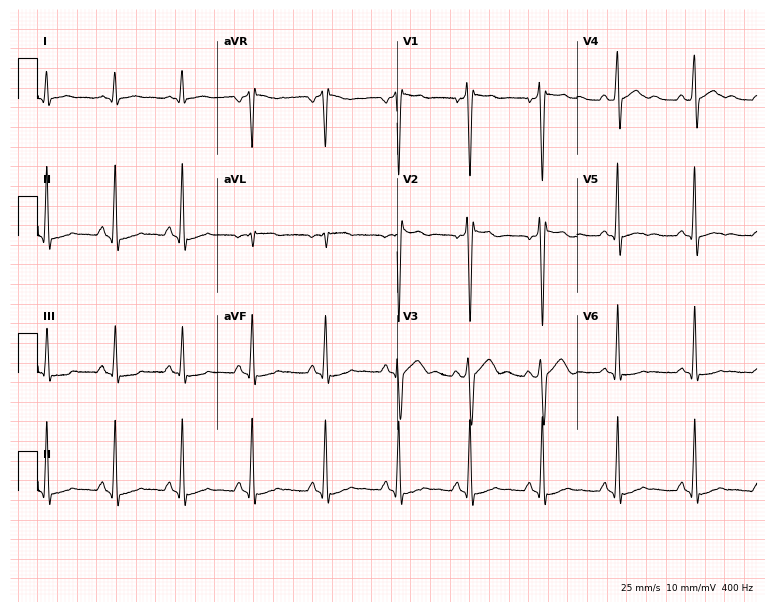
Electrocardiogram, a man, 17 years old. Of the six screened findings (first-degree AV block, right bundle branch block (RBBB), left bundle branch block (LBBB), sinus bradycardia, atrial fibrillation (AF), sinus tachycardia), none is recorded. Findings outside these six are not listed.